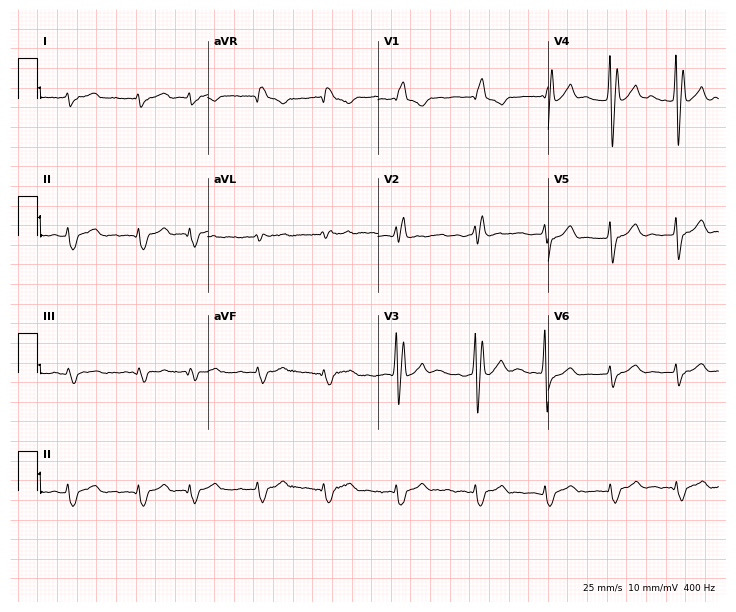
12-lead ECG from a 72-year-old man (6.9-second recording at 400 Hz). No first-degree AV block, right bundle branch block (RBBB), left bundle branch block (LBBB), sinus bradycardia, atrial fibrillation (AF) or sinus tachycardia recorded for this tracing.